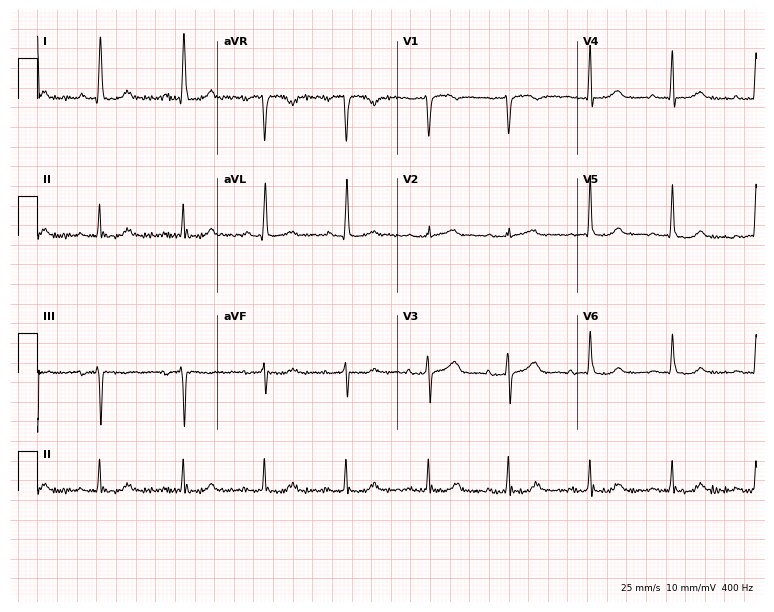
12-lead ECG from a female, 58 years old. Recorded interpretation: within normal limits.